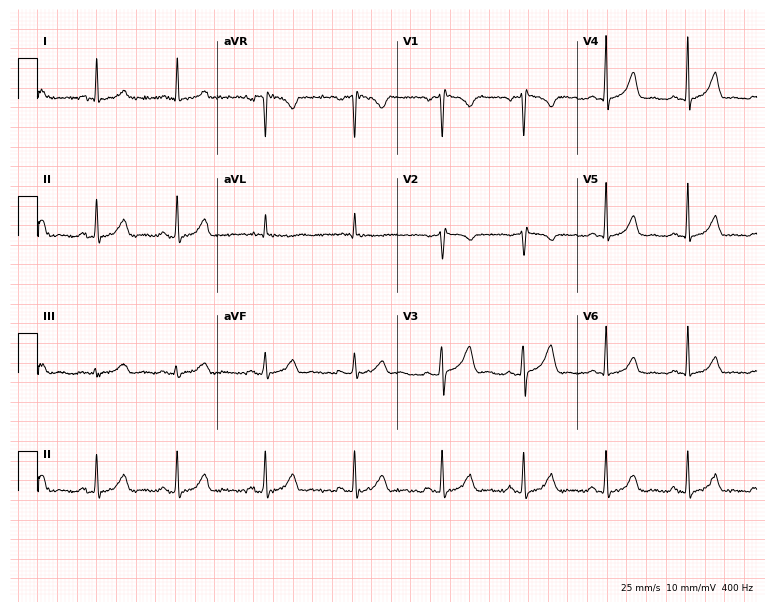
Electrocardiogram, a female patient, 43 years old. Of the six screened findings (first-degree AV block, right bundle branch block, left bundle branch block, sinus bradycardia, atrial fibrillation, sinus tachycardia), none is recorded. Other findings, if any, are not listed.